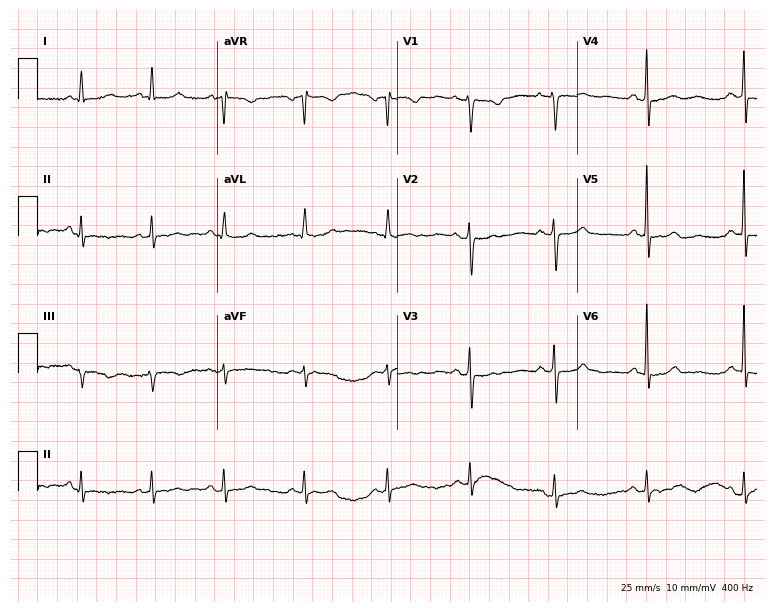
Standard 12-lead ECG recorded from a woman, 48 years old (7.3-second recording at 400 Hz). Read as a normal ECG.